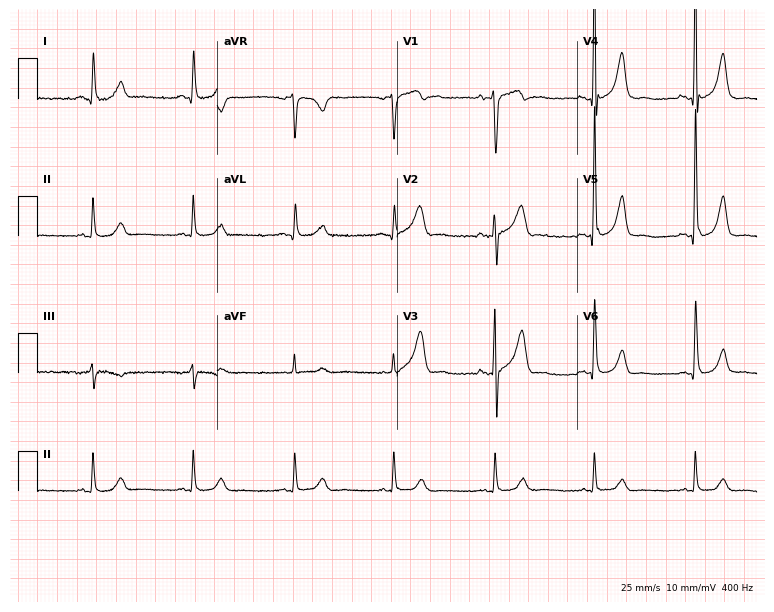
Electrocardiogram (7.3-second recording at 400 Hz), a male patient, 74 years old. Overall reading on record: normal ECG.